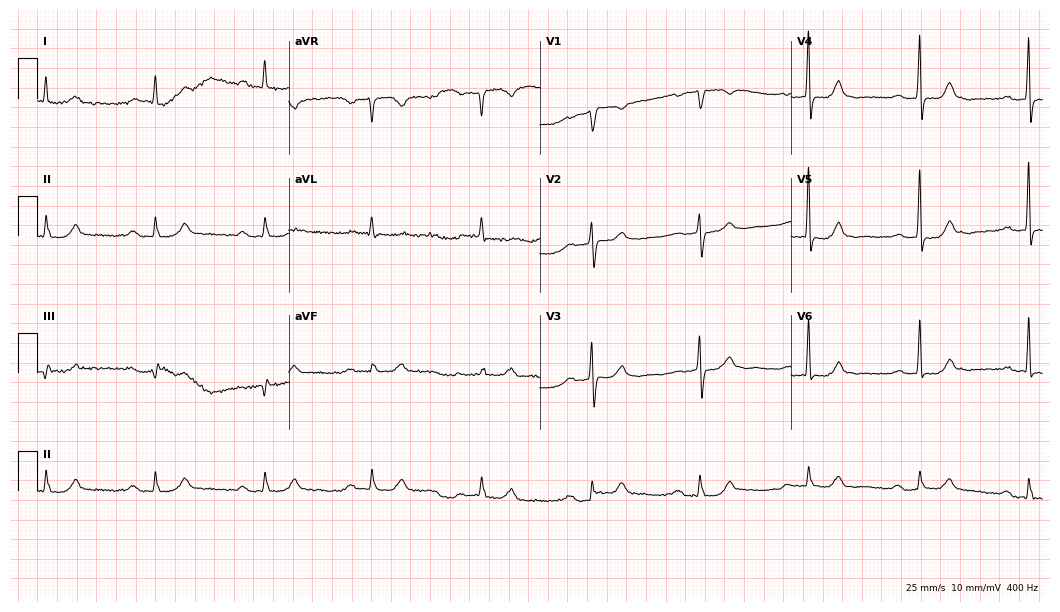
Electrocardiogram, a 79-year-old woman. Of the six screened findings (first-degree AV block, right bundle branch block (RBBB), left bundle branch block (LBBB), sinus bradycardia, atrial fibrillation (AF), sinus tachycardia), none is recorded. Only these six findings were labelled.